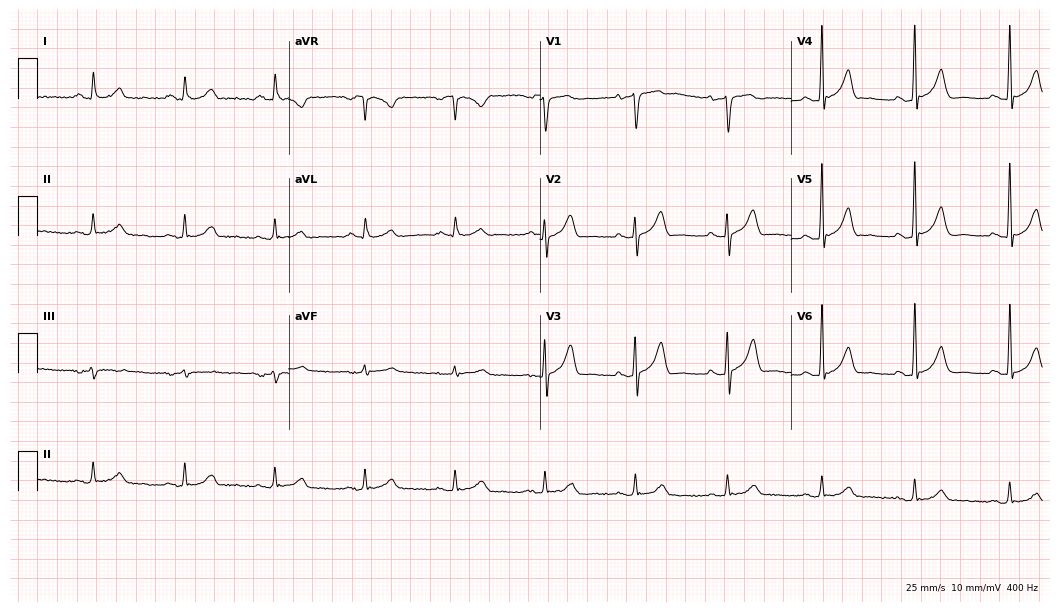
Standard 12-lead ECG recorded from a 63-year-old male patient. None of these six findings is recorded: first-degree AV block, right bundle branch block, left bundle branch block, sinus bradycardia, atrial fibrillation, sinus tachycardia. Other findings, if any, are not listed.